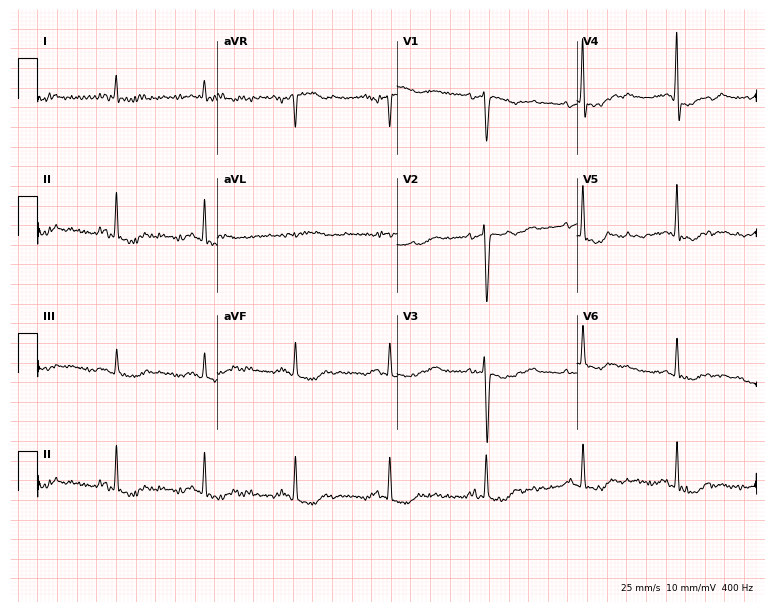
Electrocardiogram, a 72-year-old woman. Of the six screened findings (first-degree AV block, right bundle branch block, left bundle branch block, sinus bradycardia, atrial fibrillation, sinus tachycardia), none is recorded.